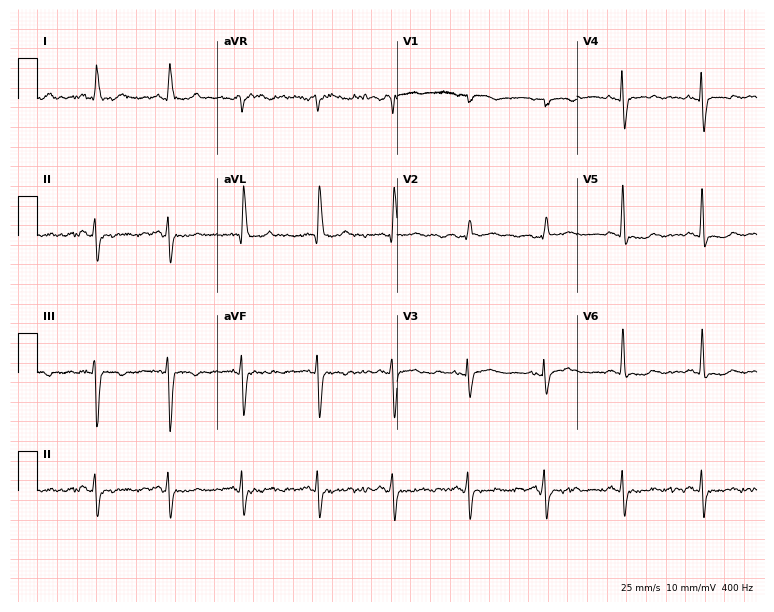
Resting 12-lead electrocardiogram (7.3-second recording at 400 Hz). Patient: a female, 69 years old. None of these six findings is recorded: first-degree AV block, right bundle branch block (RBBB), left bundle branch block (LBBB), sinus bradycardia, atrial fibrillation (AF), sinus tachycardia. Other findings, if any, are not listed.